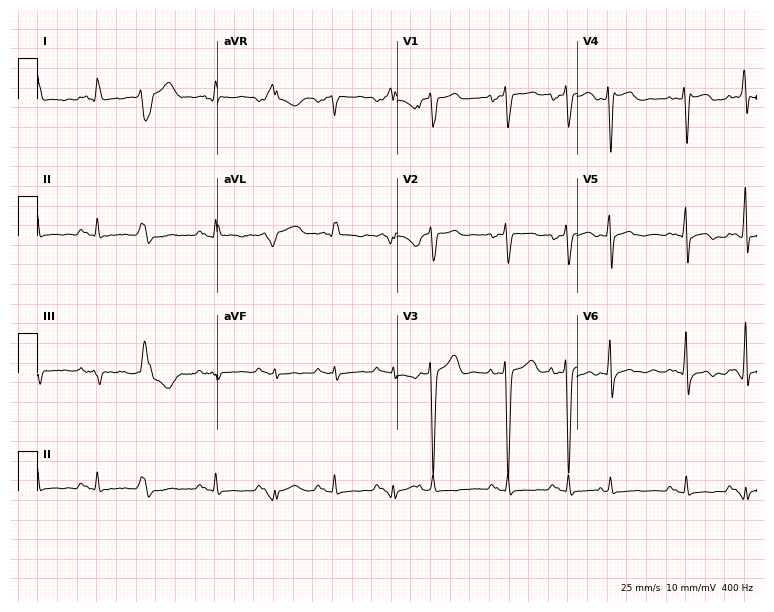
Electrocardiogram (7.3-second recording at 400 Hz), a 71-year-old male. Of the six screened findings (first-degree AV block, right bundle branch block, left bundle branch block, sinus bradycardia, atrial fibrillation, sinus tachycardia), none is recorded. Findings outside these six are not listed.